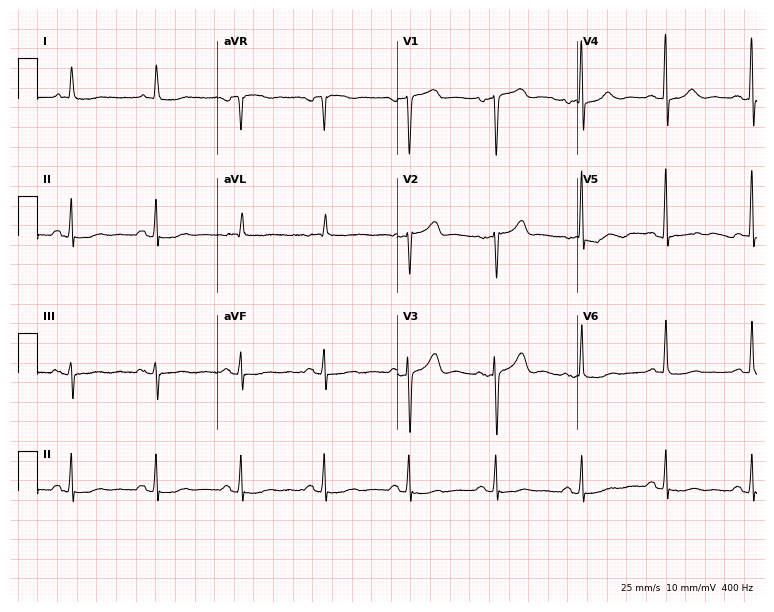
12-lead ECG from a 74-year-old female. Screened for six findings — first-degree AV block, right bundle branch block, left bundle branch block, sinus bradycardia, atrial fibrillation, sinus tachycardia — none is recorded.